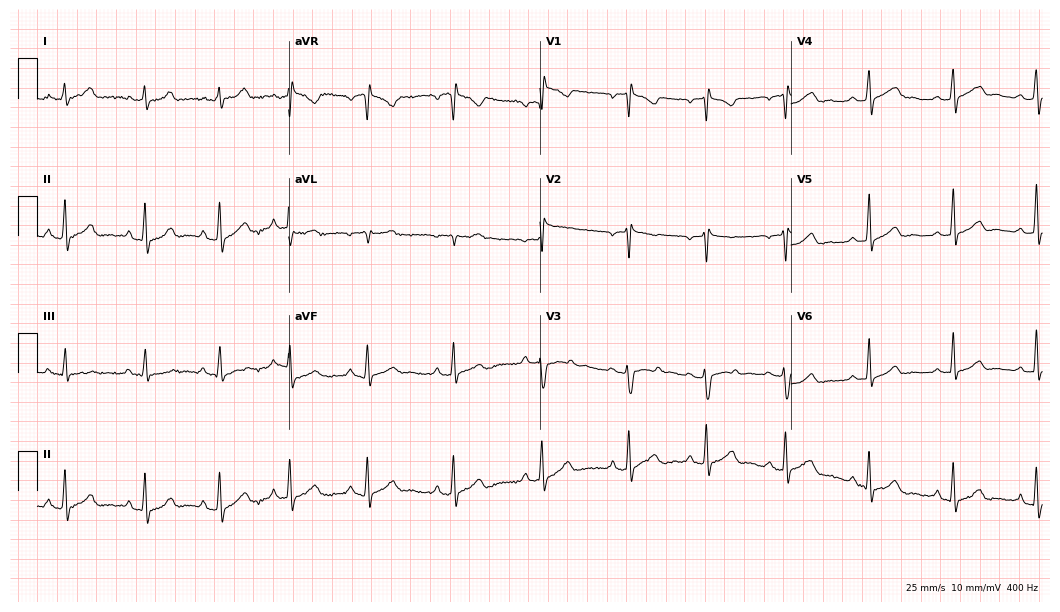
Standard 12-lead ECG recorded from a woman, 18 years old. None of these six findings is recorded: first-degree AV block, right bundle branch block, left bundle branch block, sinus bradycardia, atrial fibrillation, sinus tachycardia.